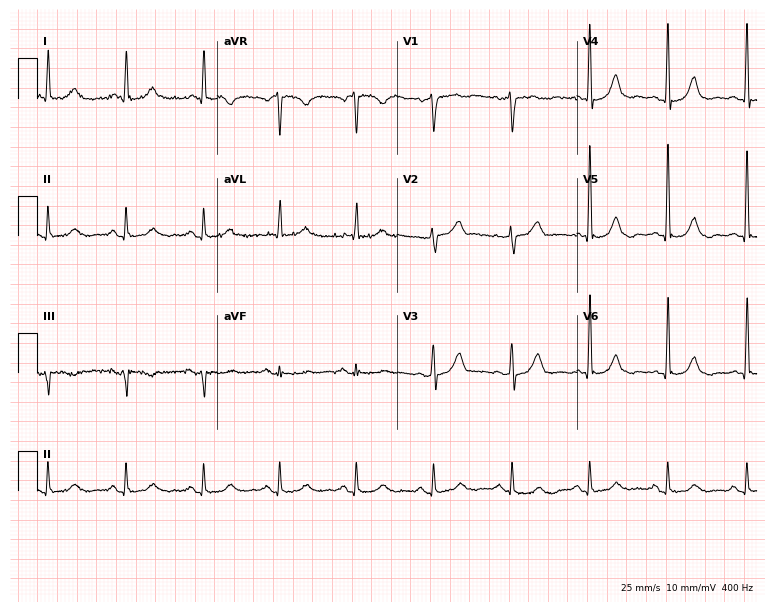
12-lead ECG (7.3-second recording at 400 Hz) from a male, 72 years old. Screened for six findings — first-degree AV block, right bundle branch block (RBBB), left bundle branch block (LBBB), sinus bradycardia, atrial fibrillation (AF), sinus tachycardia — none is recorded. Other findings, if any, are not listed.